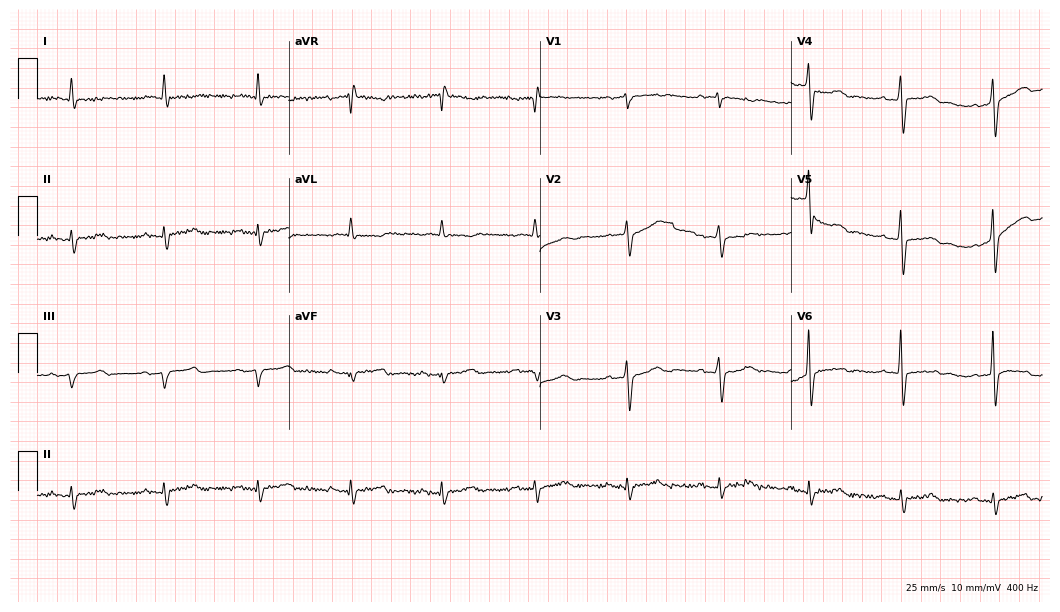
ECG — a male, 75 years old. Screened for six findings — first-degree AV block, right bundle branch block, left bundle branch block, sinus bradycardia, atrial fibrillation, sinus tachycardia — none is recorded.